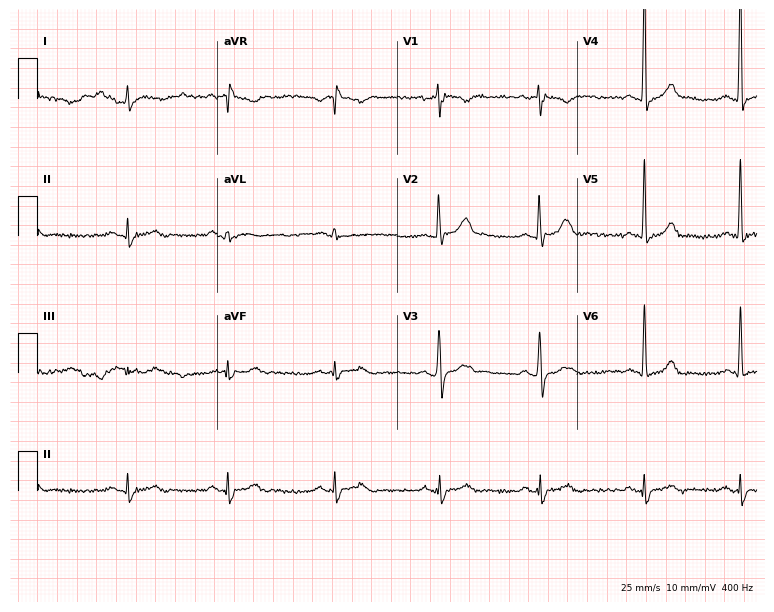
Standard 12-lead ECG recorded from a 40-year-old man (7.3-second recording at 400 Hz). None of these six findings is recorded: first-degree AV block, right bundle branch block (RBBB), left bundle branch block (LBBB), sinus bradycardia, atrial fibrillation (AF), sinus tachycardia. Only these six findings were labelled.